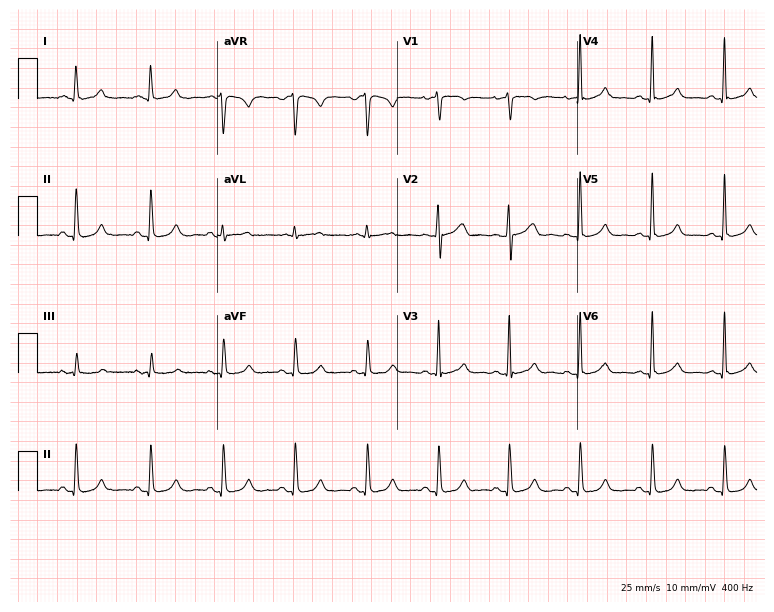
12-lead ECG from a 40-year-old woman. Labelled as a normal ECG.